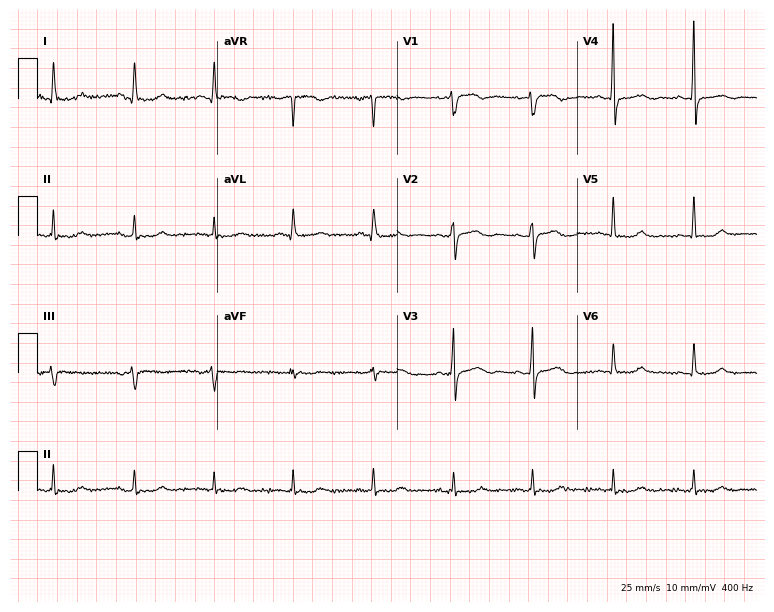
12-lead ECG from a 72-year-old woman. No first-degree AV block, right bundle branch block, left bundle branch block, sinus bradycardia, atrial fibrillation or sinus tachycardia recorded for this tracing.